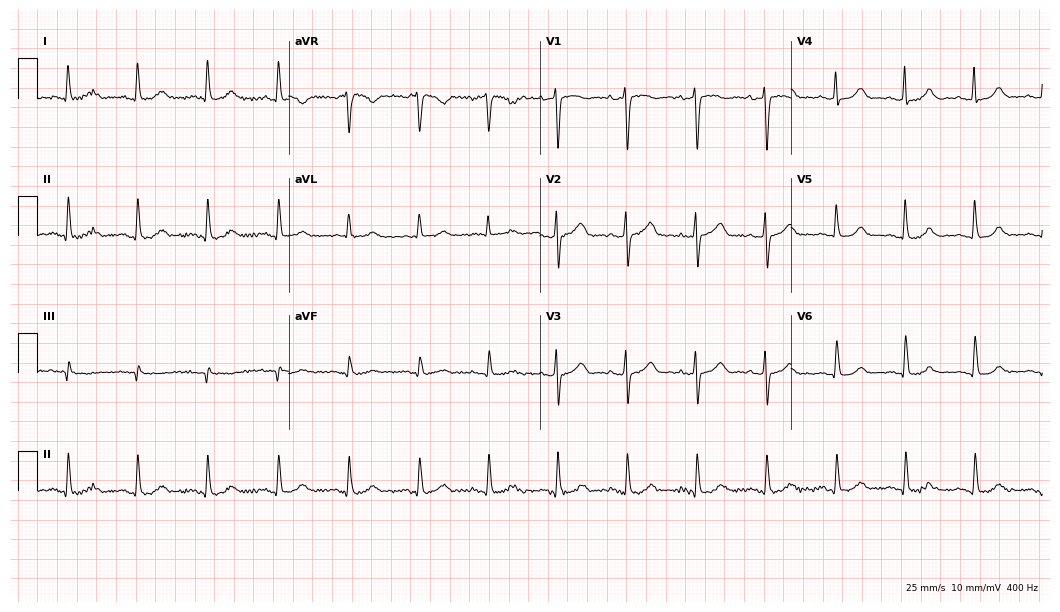
Standard 12-lead ECG recorded from a 69-year-old male patient (10.2-second recording at 400 Hz). Read as a normal ECG.